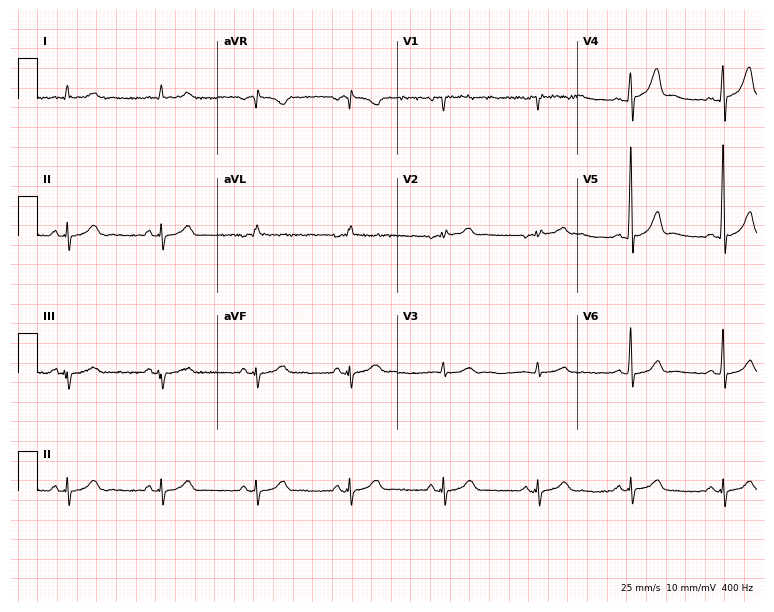
Electrocardiogram, a male patient, 69 years old. Of the six screened findings (first-degree AV block, right bundle branch block (RBBB), left bundle branch block (LBBB), sinus bradycardia, atrial fibrillation (AF), sinus tachycardia), none is recorded. Findings outside these six are not listed.